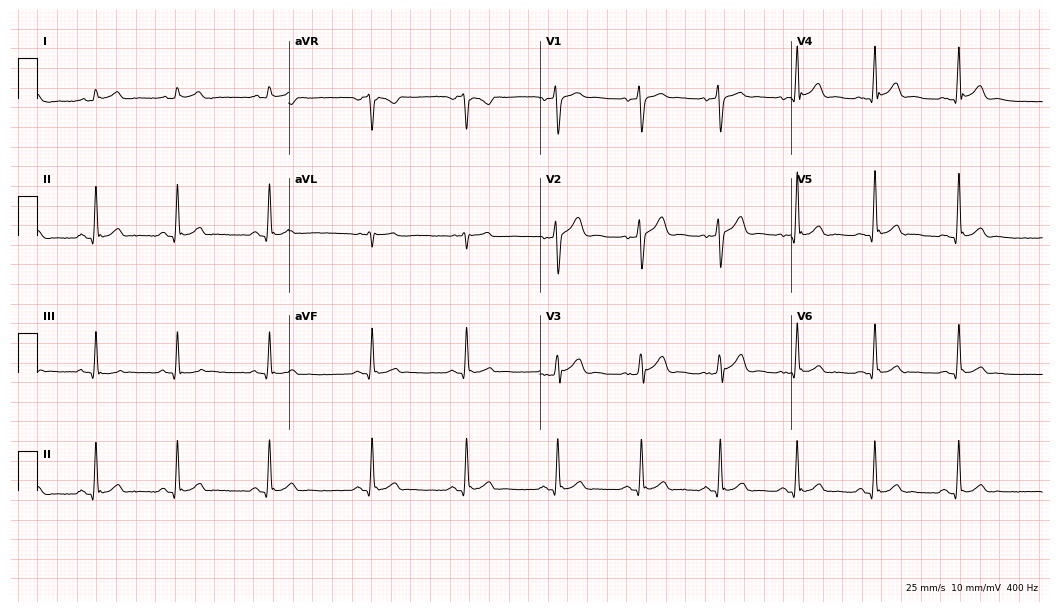
Electrocardiogram, a 29-year-old man. Of the six screened findings (first-degree AV block, right bundle branch block (RBBB), left bundle branch block (LBBB), sinus bradycardia, atrial fibrillation (AF), sinus tachycardia), none is recorded.